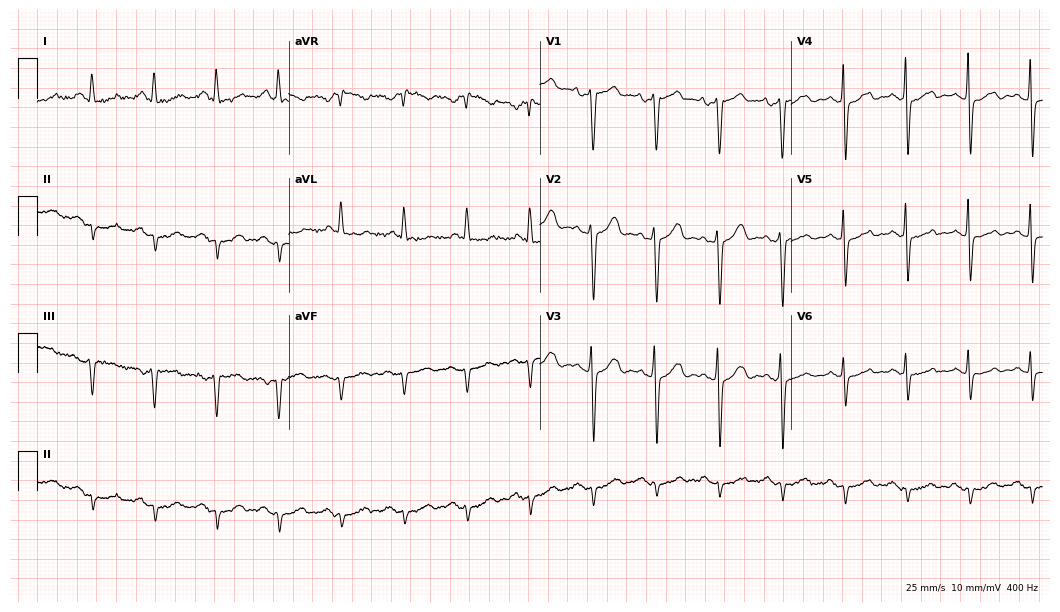
12-lead ECG from a 63-year-old female. Screened for six findings — first-degree AV block, right bundle branch block (RBBB), left bundle branch block (LBBB), sinus bradycardia, atrial fibrillation (AF), sinus tachycardia — none is recorded.